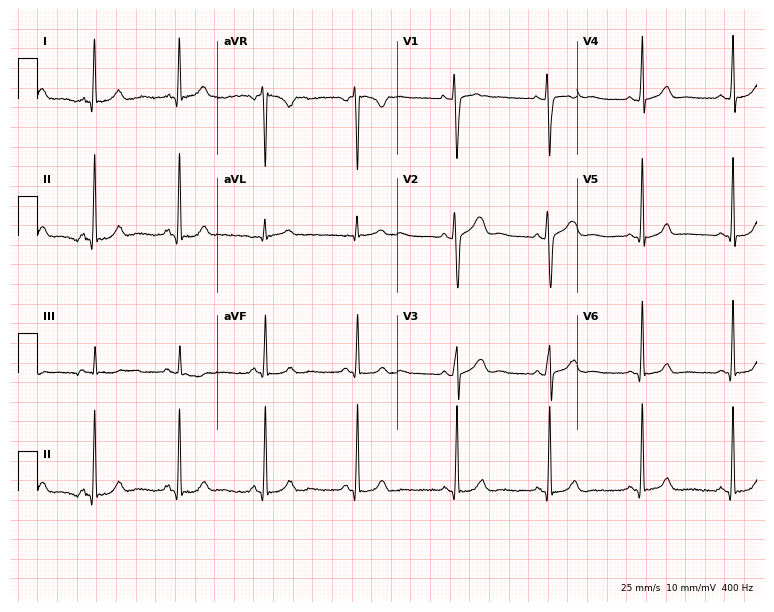
Standard 12-lead ECG recorded from a female, 18 years old. None of these six findings is recorded: first-degree AV block, right bundle branch block, left bundle branch block, sinus bradycardia, atrial fibrillation, sinus tachycardia. Other findings, if any, are not listed.